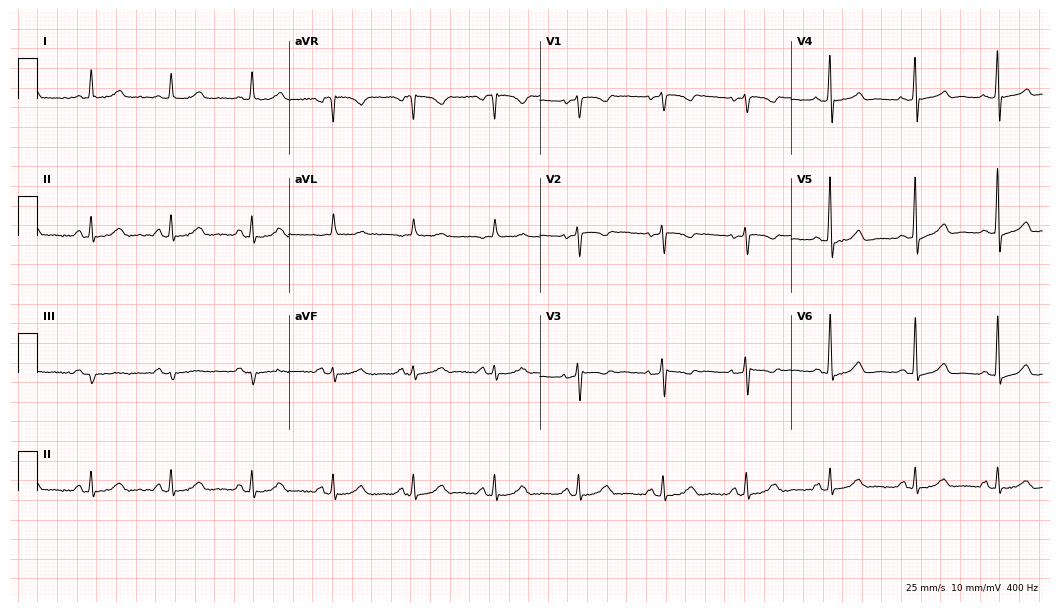
ECG (10.2-second recording at 400 Hz) — a female patient, 57 years old. Labelled as a normal ECG.